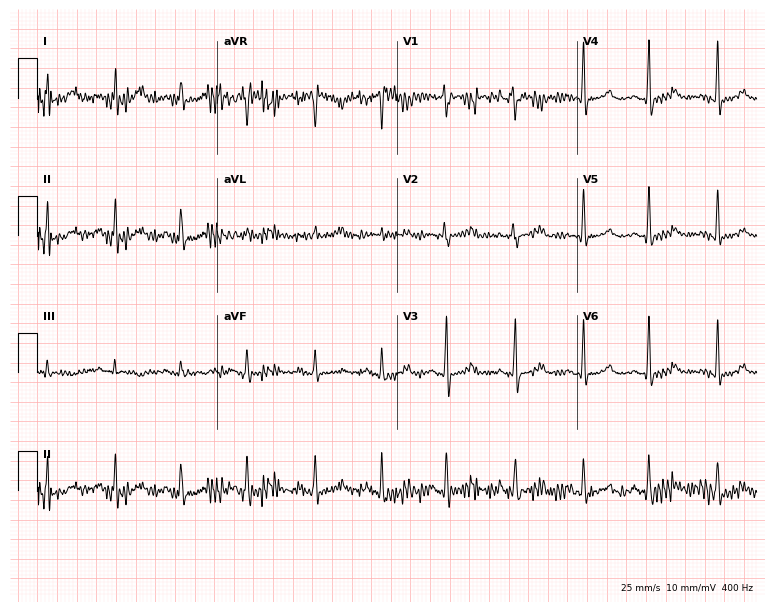
Electrocardiogram, a 51-year-old female patient. Overall reading on record: normal ECG.